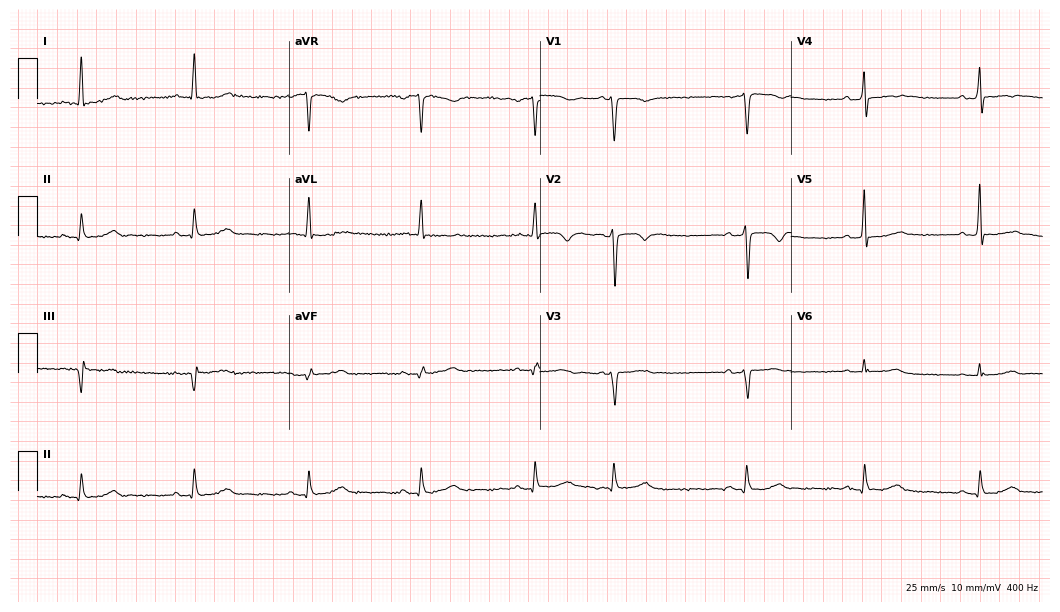
12-lead ECG (10.2-second recording at 400 Hz) from a 68-year-old man. Screened for six findings — first-degree AV block, right bundle branch block, left bundle branch block, sinus bradycardia, atrial fibrillation, sinus tachycardia — none is recorded.